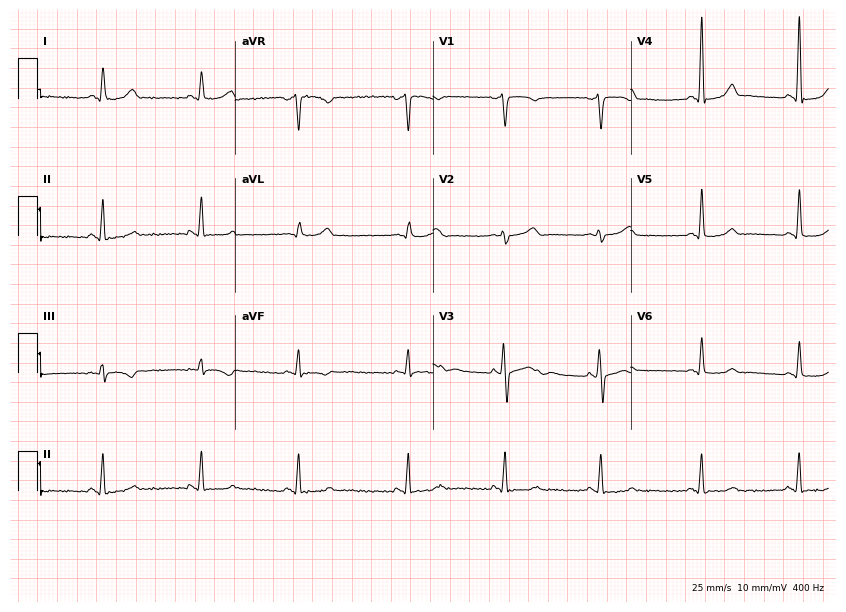
ECG (8.1-second recording at 400 Hz) — a female patient, 40 years old. Screened for six findings — first-degree AV block, right bundle branch block (RBBB), left bundle branch block (LBBB), sinus bradycardia, atrial fibrillation (AF), sinus tachycardia — none is recorded.